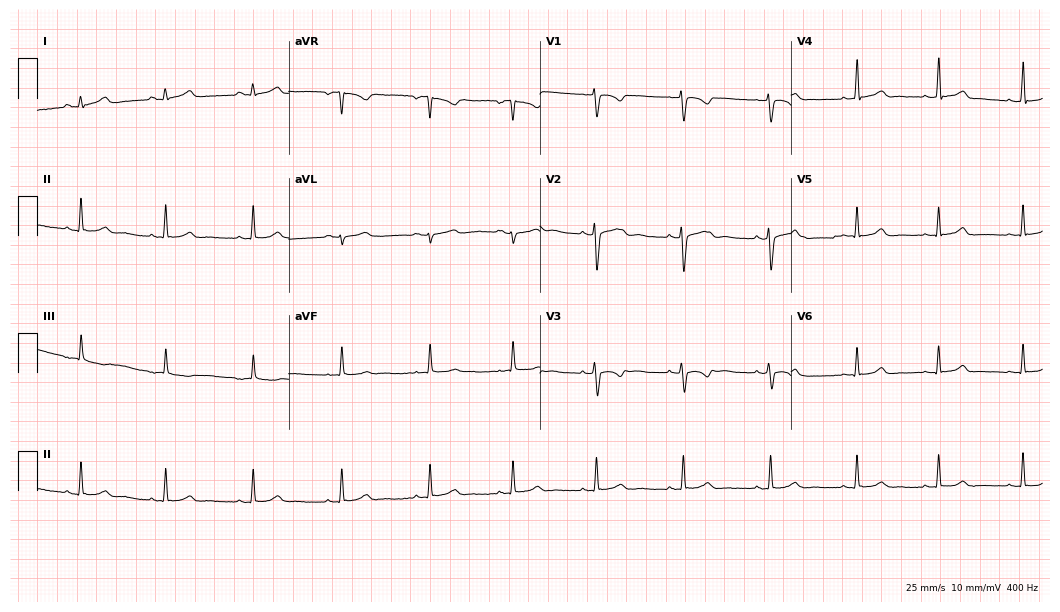
Resting 12-lead electrocardiogram (10.2-second recording at 400 Hz). Patient: a 30-year-old female. None of these six findings is recorded: first-degree AV block, right bundle branch block, left bundle branch block, sinus bradycardia, atrial fibrillation, sinus tachycardia. Findings outside these six are not listed.